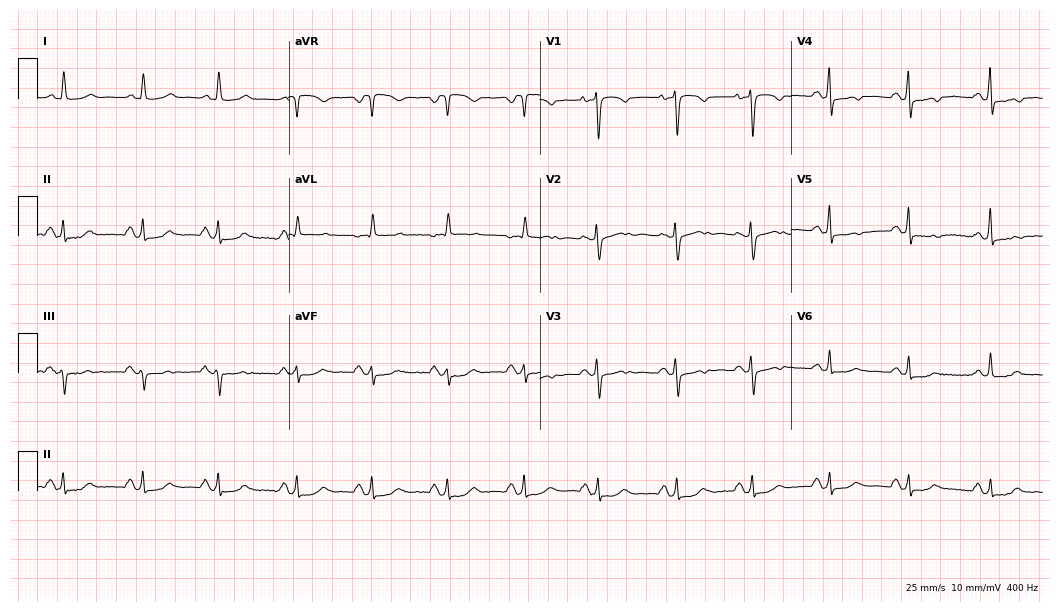
Electrocardiogram (10.2-second recording at 400 Hz), a female, 72 years old. Of the six screened findings (first-degree AV block, right bundle branch block (RBBB), left bundle branch block (LBBB), sinus bradycardia, atrial fibrillation (AF), sinus tachycardia), none is recorded.